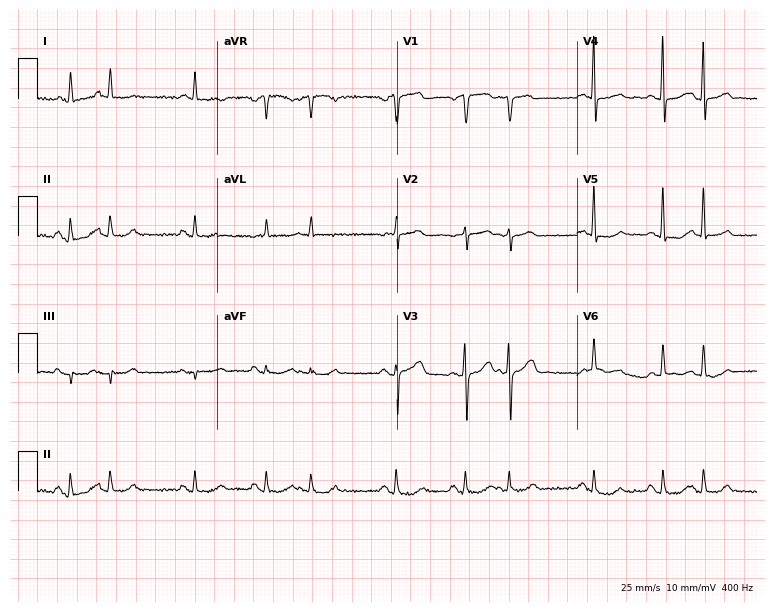
12-lead ECG from an 82-year-old man (7.3-second recording at 400 Hz). No first-degree AV block, right bundle branch block (RBBB), left bundle branch block (LBBB), sinus bradycardia, atrial fibrillation (AF) or sinus tachycardia recorded for this tracing. Only these six findings were labelled.